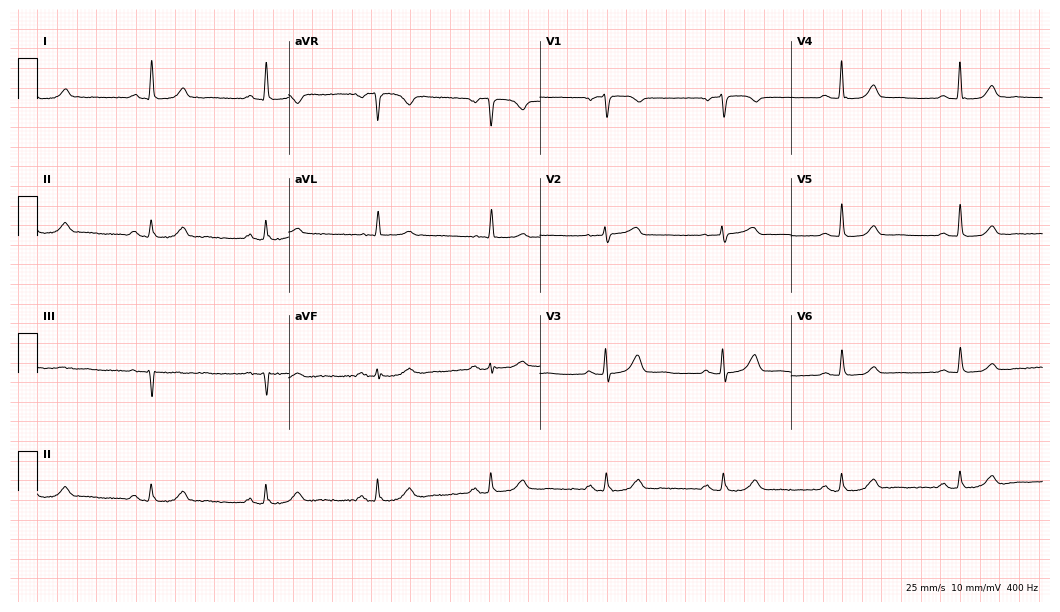
ECG — an 80-year-old female. Screened for six findings — first-degree AV block, right bundle branch block, left bundle branch block, sinus bradycardia, atrial fibrillation, sinus tachycardia — none is recorded. Other findings, if any, are not listed.